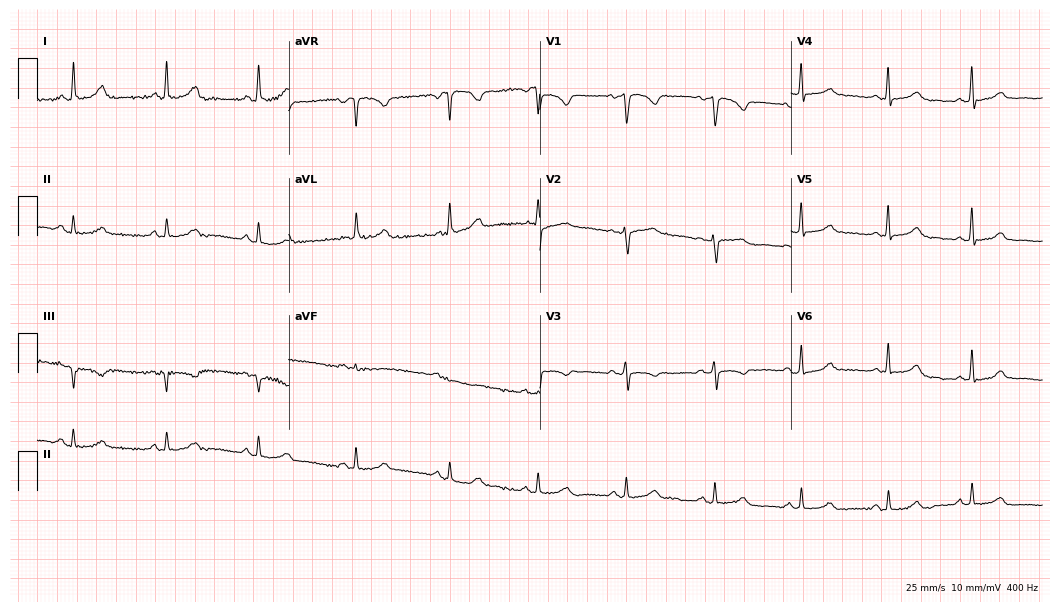
Electrocardiogram, a female, 57 years old. Overall reading on record: normal ECG.